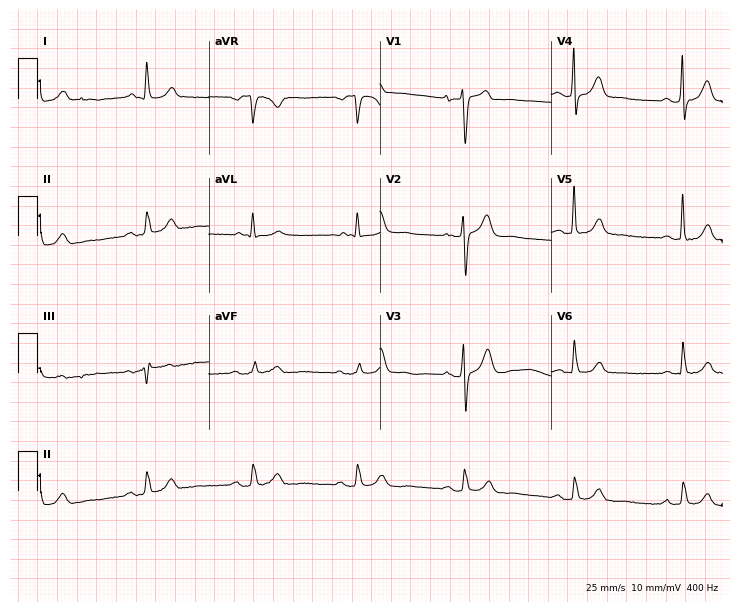
Standard 12-lead ECG recorded from a 70-year-old male (7-second recording at 400 Hz). None of these six findings is recorded: first-degree AV block, right bundle branch block, left bundle branch block, sinus bradycardia, atrial fibrillation, sinus tachycardia. Other findings, if any, are not listed.